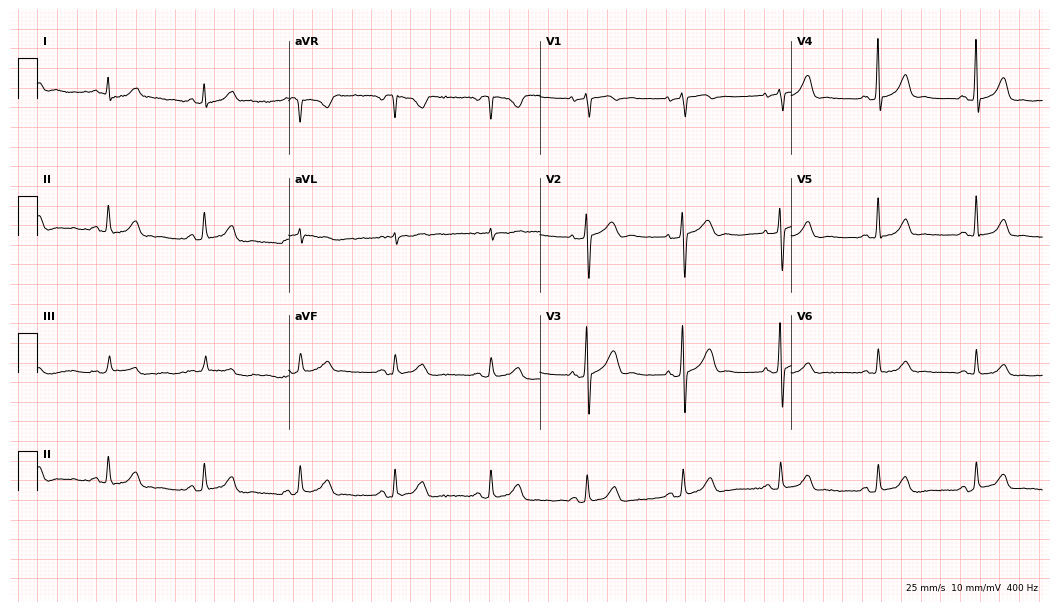
Resting 12-lead electrocardiogram. Patient: a female, 69 years old. Read as a normal ECG.